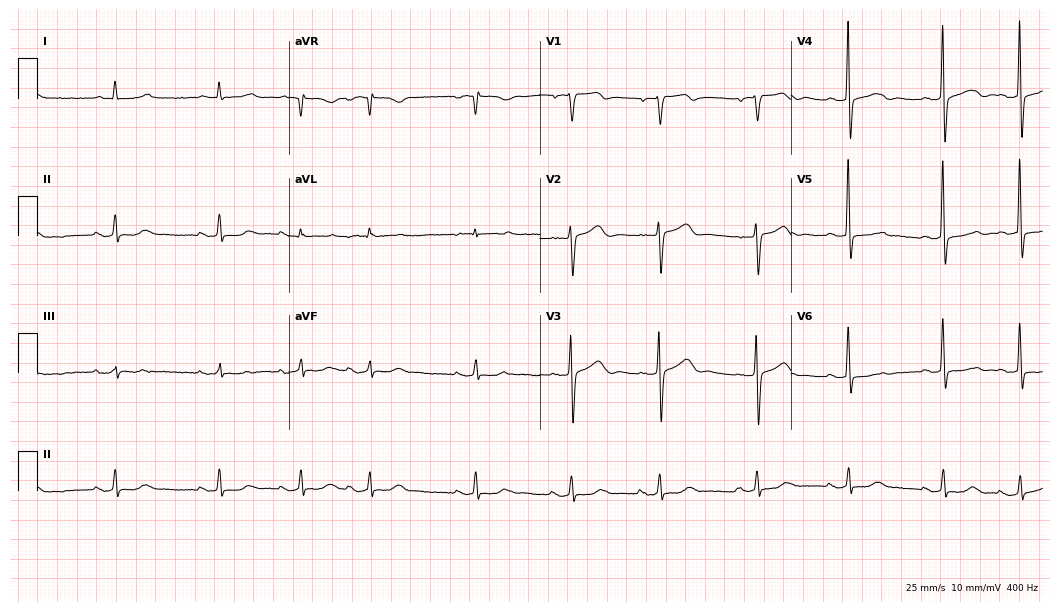
Electrocardiogram (10.2-second recording at 400 Hz), a female patient, 83 years old. Of the six screened findings (first-degree AV block, right bundle branch block, left bundle branch block, sinus bradycardia, atrial fibrillation, sinus tachycardia), none is recorded.